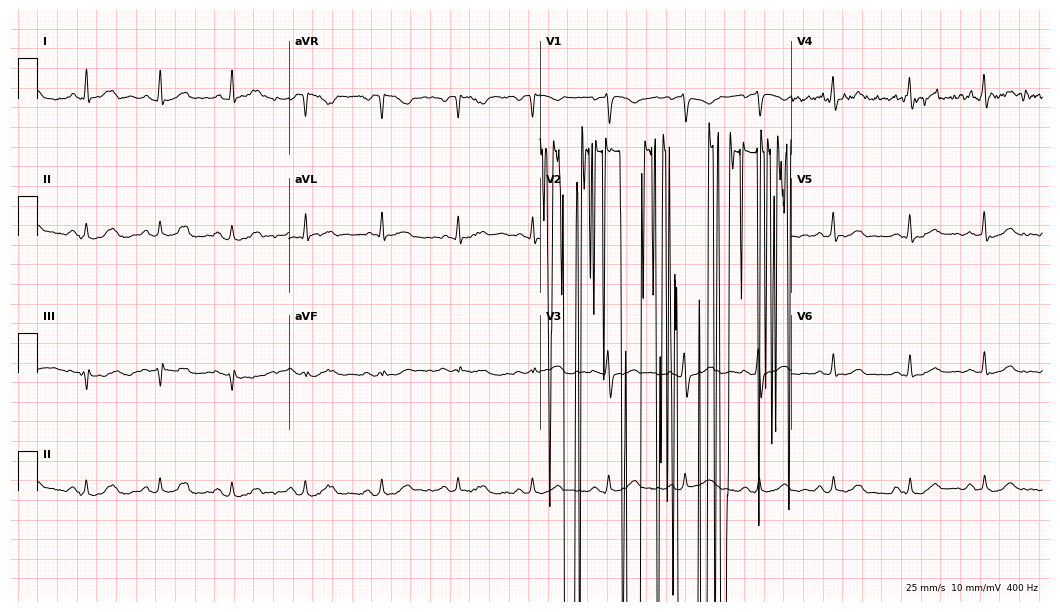
Resting 12-lead electrocardiogram (10.2-second recording at 400 Hz). Patient: a 41-year-old female. None of these six findings is recorded: first-degree AV block, right bundle branch block, left bundle branch block, sinus bradycardia, atrial fibrillation, sinus tachycardia. Findings outside these six are not listed.